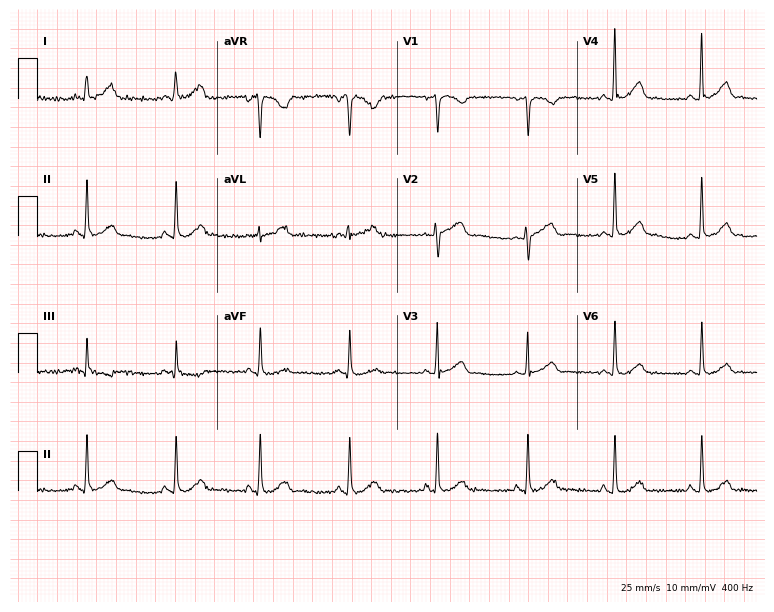
Electrocardiogram (7.3-second recording at 400 Hz), a woman, 25 years old. Overall reading on record: normal ECG.